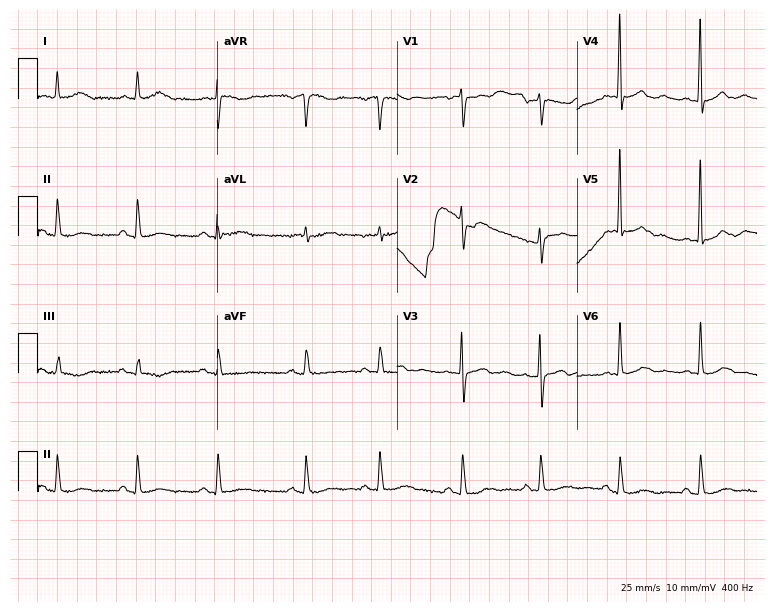
12-lead ECG from a female, 80 years old. No first-degree AV block, right bundle branch block (RBBB), left bundle branch block (LBBB), sinus bradycardia, atrial fibrillation (AF) or sinus tachycardia recorded for this tracing.